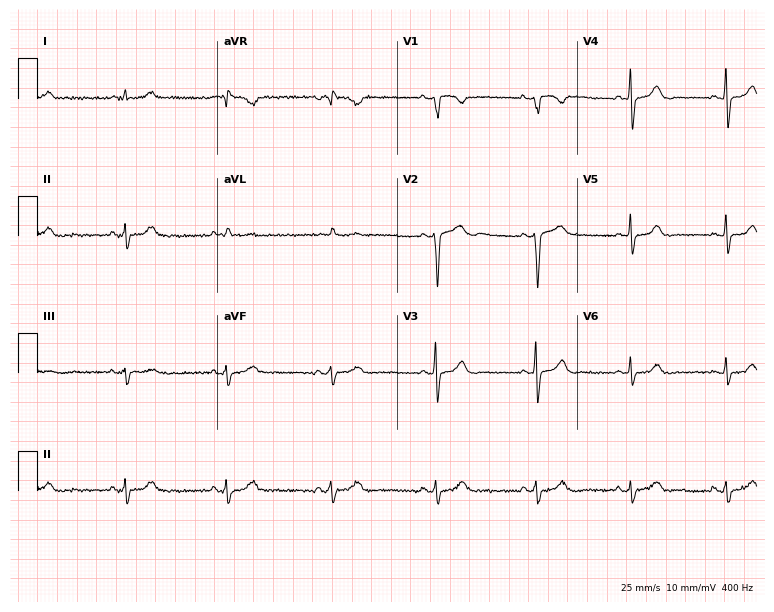
ECG — a female, 53 years old. Labelled as a normal ECG.